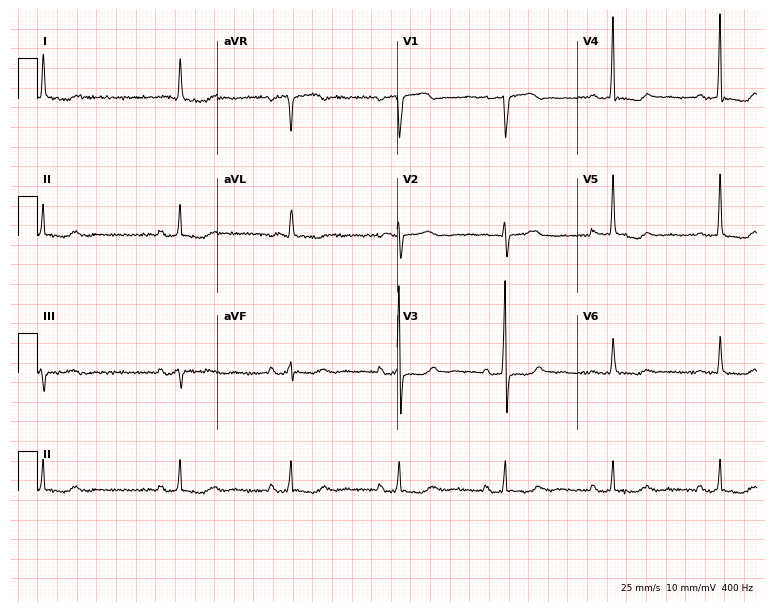
ECG — a 77-year-old female. Screened for six findings — first-degree AV block, right bundle branch block, left bundle branch block, sinus bradycardia, atrial fibrillation, sinus tachycardia — none is recorded.